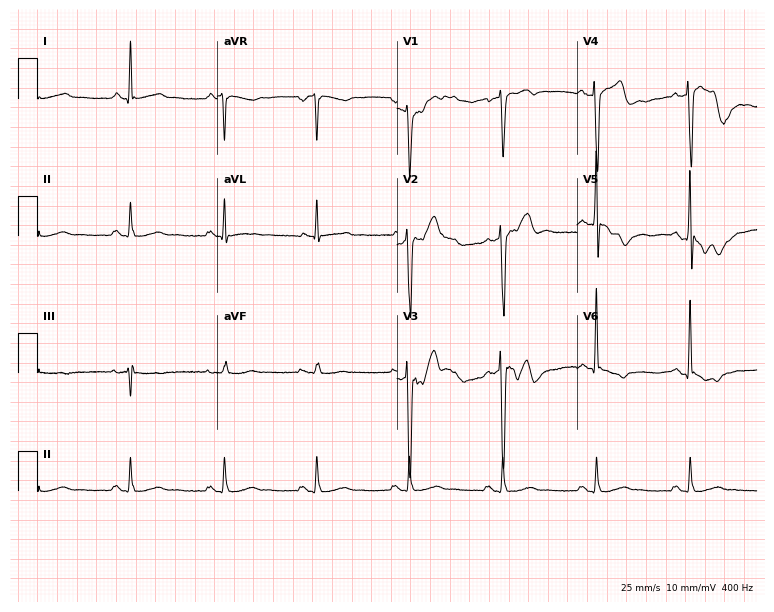
12-lead ECG from a 45-year-old male patient. Screened for six findings — first-degree AV block, right bundle branch block, left bundle branch block, sinus bradycardia, atrial fibrillation, sinus tachycardia — none is recorded.